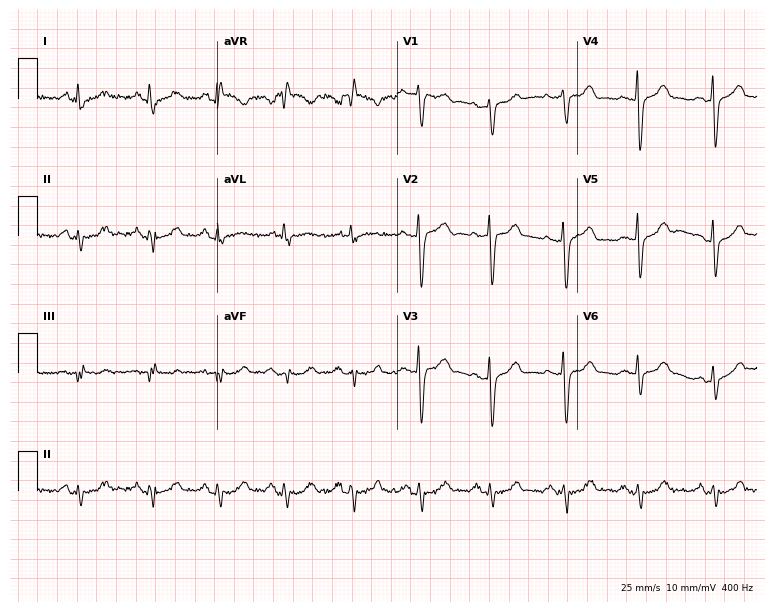
Standard 12-lead ECG recorded from a woman, 51 years old. None of these six findings is recorded: first-degree AV block, right bundle branch block, left bundle branch block, sinus bradycardia, atrial fibrillation, sinus tachycardia. Findings outside these six are not listed.